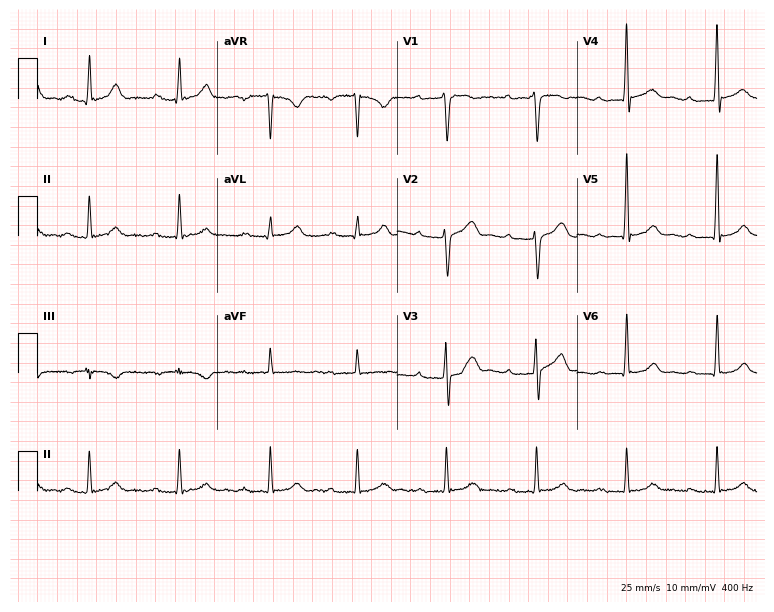
Standard 12-lead ECG recorded from a male, 38 years old. The tracing shows first-degree AV block.